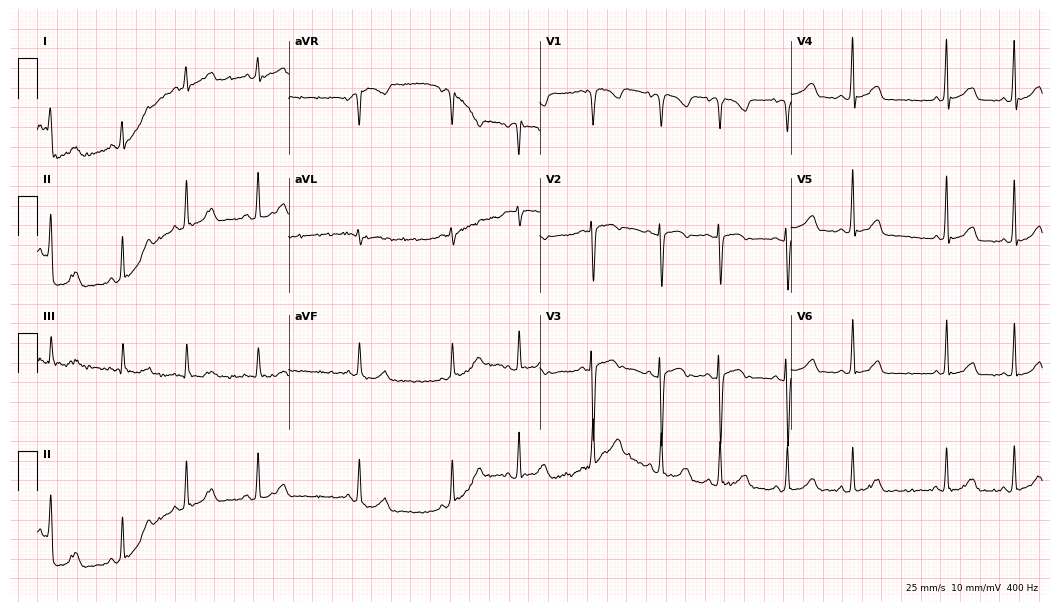
ECG (10.2-second recording at 400 Hz) — a male patient, 17 years old. Labelled as a normal ECG.